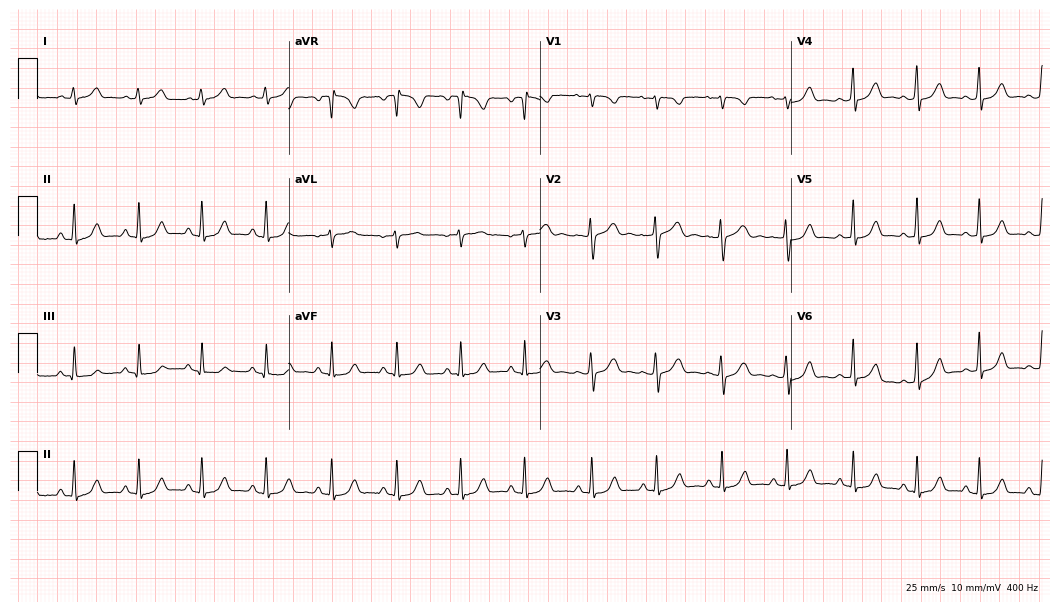
Electrocardiogram (10.2-second recording at 400 Hz), a 24-year-old female patient. Overall reading on record: normal ECG.